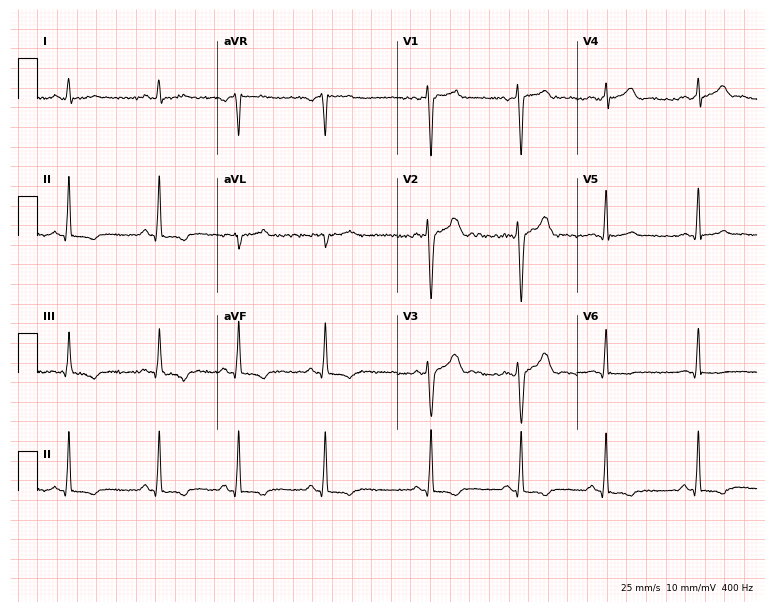
Resting 12-lead electrocardiogram (7.3-second recording at 400 Hz). Patient: a man, 30 years old. None of these six findings is recorded: first-degree AV block, right bundle branch block, left bundle branch block, sinus bradycardia, atrial fibrillation, sinus tachycardia.